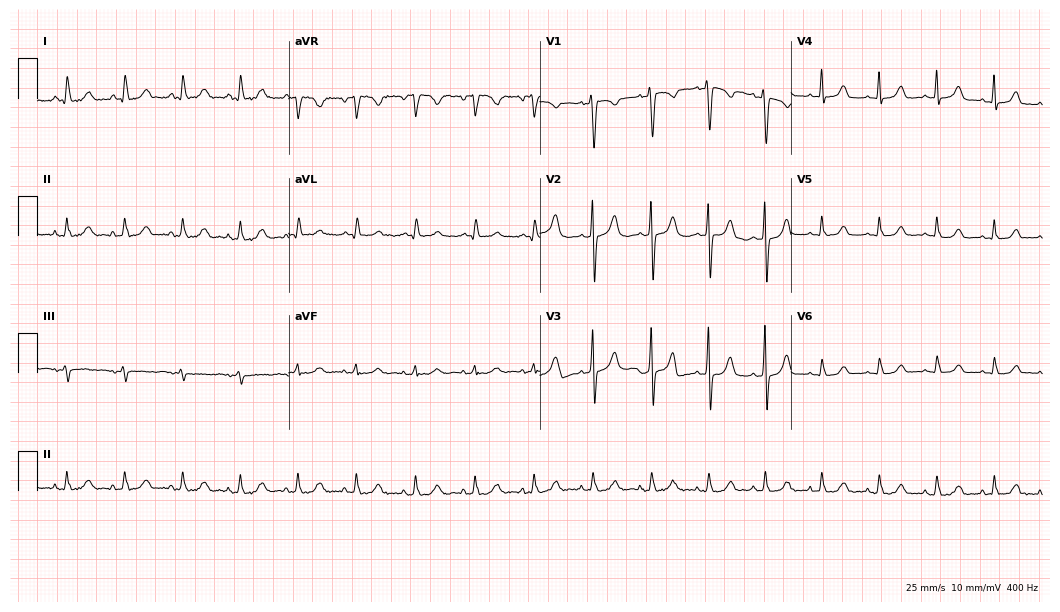
12-lead ECG from a female patient, 42 years old. Findings include sinus tachycardia (a sinus rate of 100 beats per minute or more).